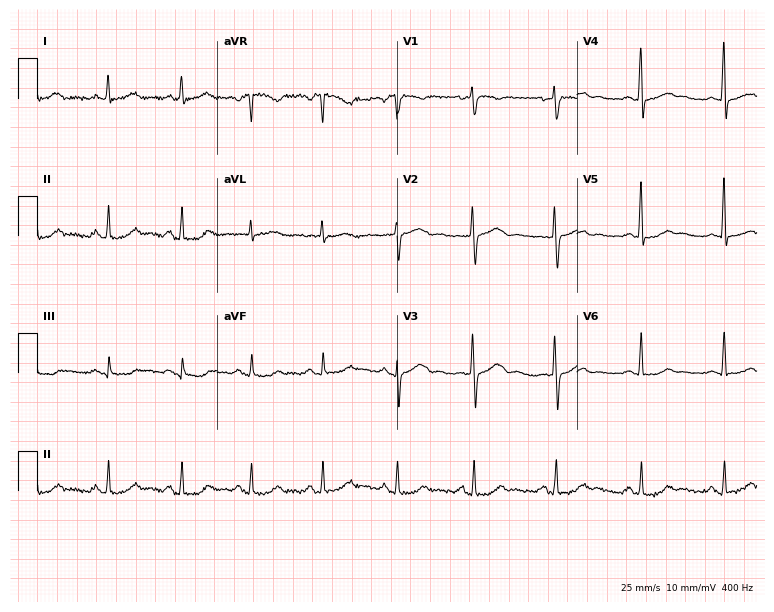
12-lead ECG (7.3-second recording at 400 Hz) from a 45-year-old female. Labelled as a normal ECG.